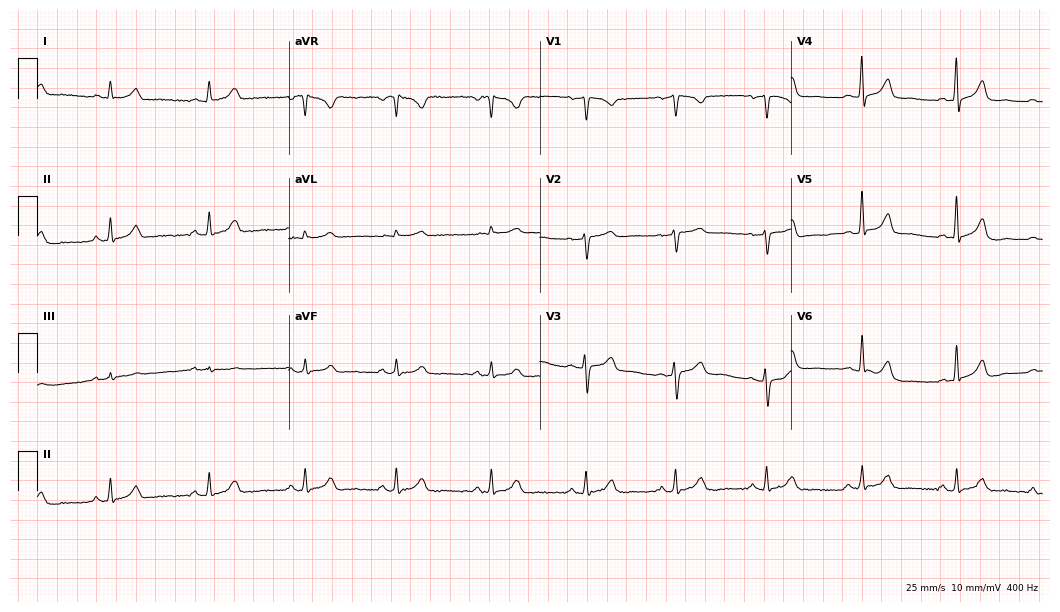
Electrocardiogram, a 49-year-old woman. Overall reading on record: normal ECG.